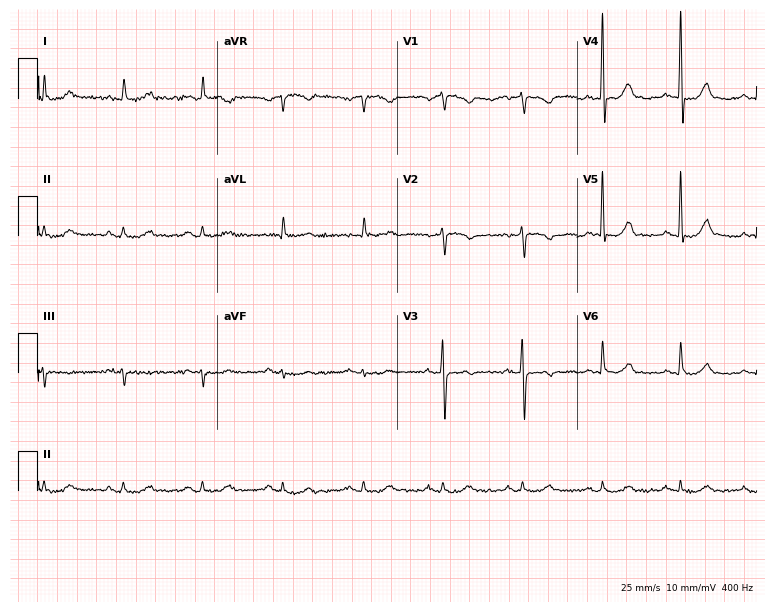
Resting 12-lead electrocardiogram. Patient: a woman, 72 years old. None of these six findings is recorded: first-degree AV block, right bundle branch block, left bundle branch block, sinus bradycardia, atrial fibrillation, sinus tachycardia. Findings outside these six are not listed.